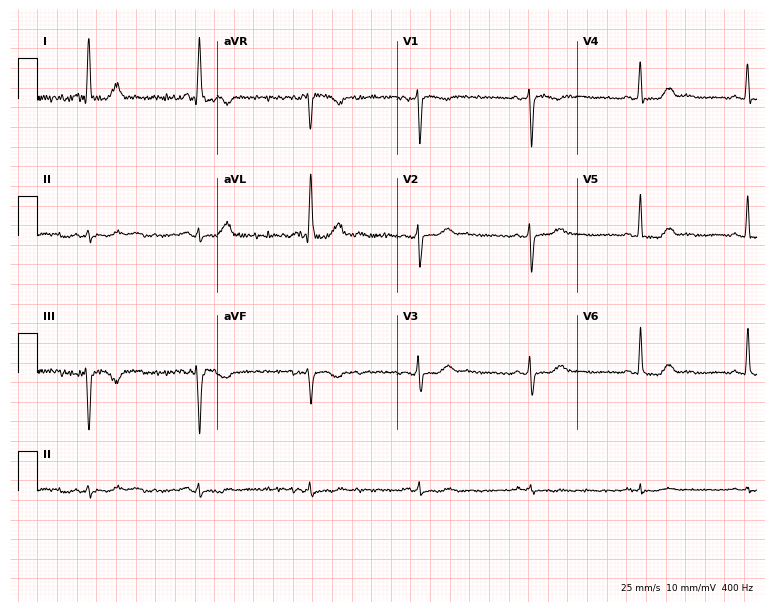
12-lead ECG from a 54-year-old female. No first-degree AV block, right bundle branch block, left bundle branch block, sinus bradycardia, atrial fibrillation or sinus tachycardia recorded for this tracing.